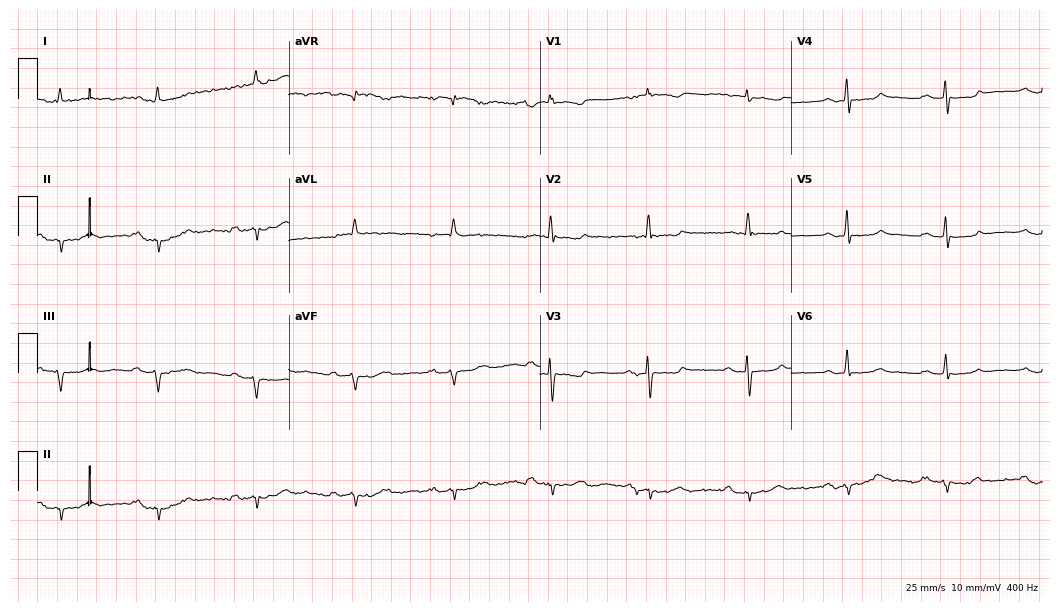
Resting 12-lead electrocardiogram (10.2-second recording at 400 Hz). Patient: an 81-year-old female. None of these six findings is recorded: first-degree AV block, right bundle branch block, left bundle branch block, sinus bradycardia, atrial fibrillation, sinus tachycardia.